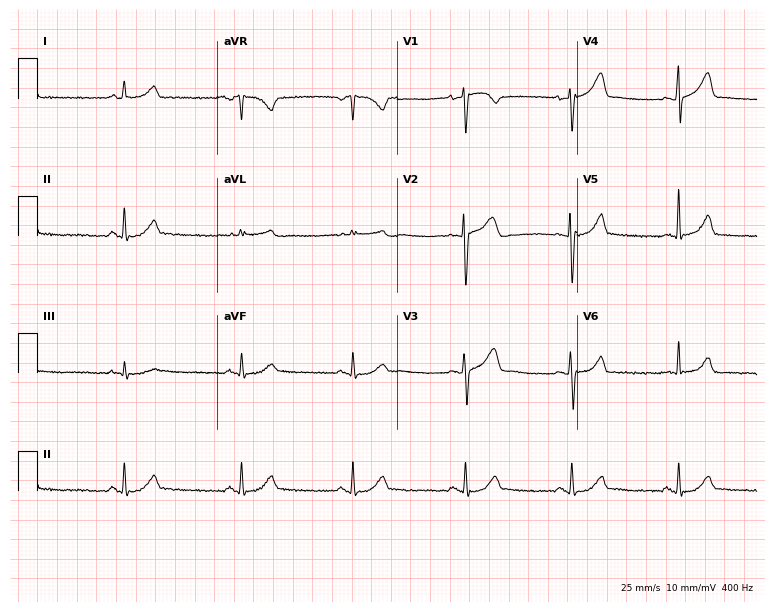
Resting 12-lead electrocardiogram. Patient: a 39-year-old female. Read as a normal ECG.